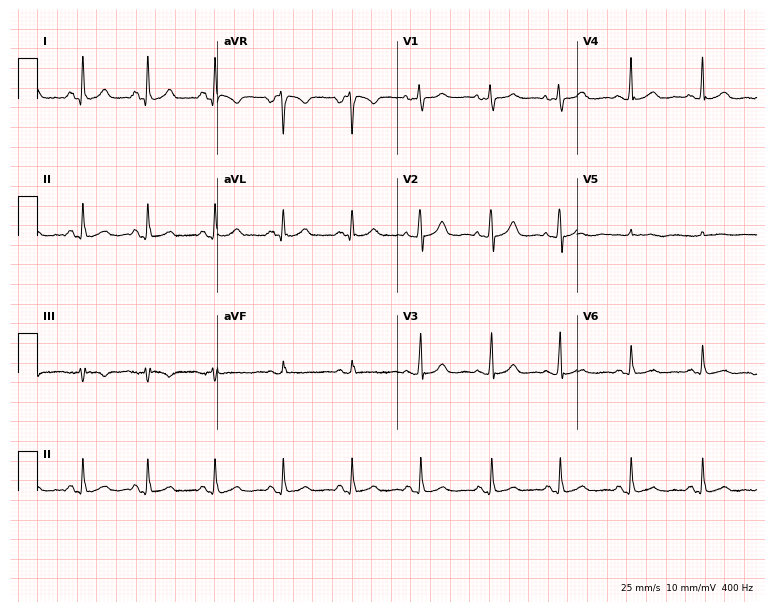
Electrocardiogram (7.3-second recording at 400 Hz), a 42-year-old woman. Overall reading on record: normal ECG.